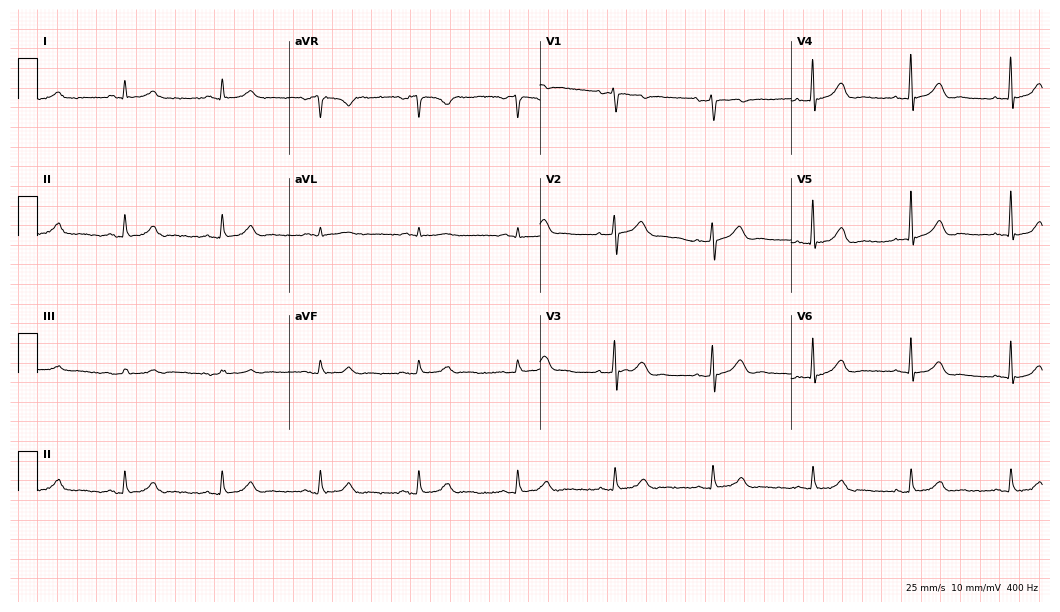
Resting 12-lead electrocardiogram (10.2-second recording at 400 Hz). Patient: a 54-year-old male. Read as a normal ECG.